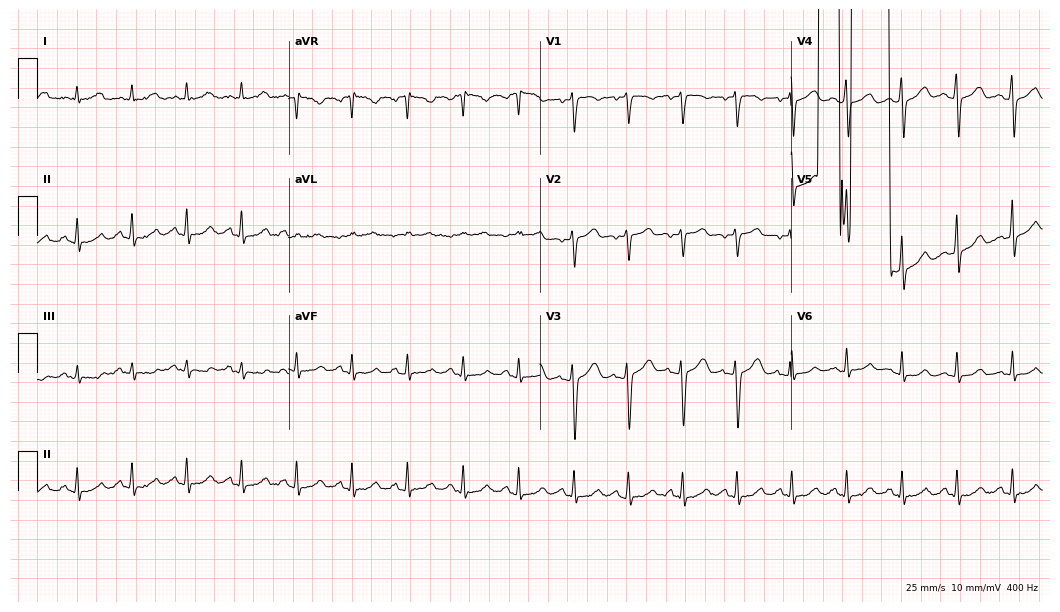
Electrocardiogram (10.2-second recording at 400 Hz), a female, 43 years old. Of the six screened findings (first-degree AV block, right bundle branch block, left bundle branch block, sinus bradycardia, atrial fibrillation, sinus tachycardia), none is recorded.